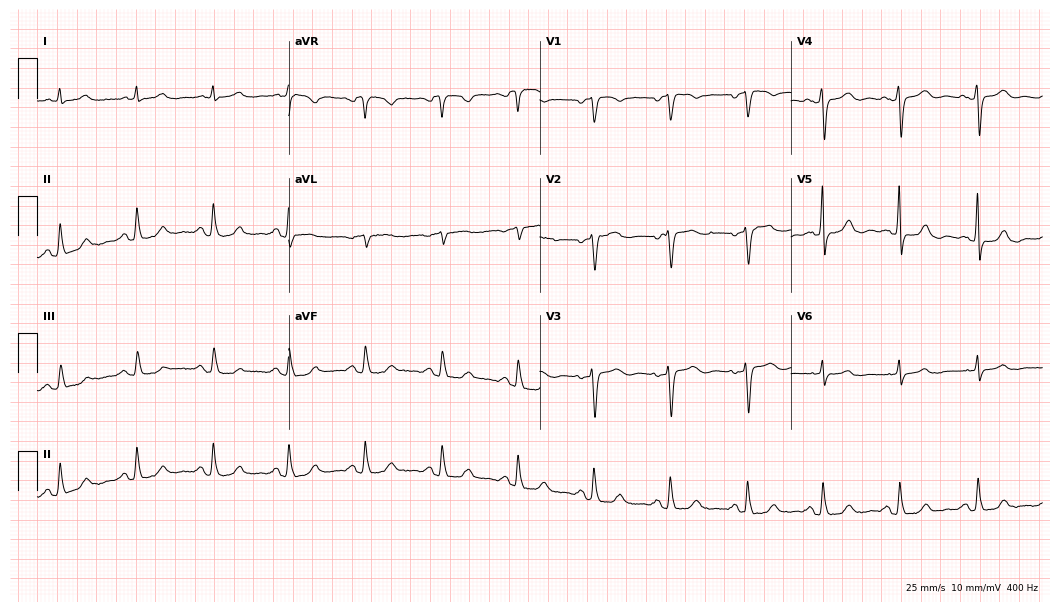
Resting 12-lead electrocardiogram. Patient: a 73-year-old female. Read as a normal ECG.